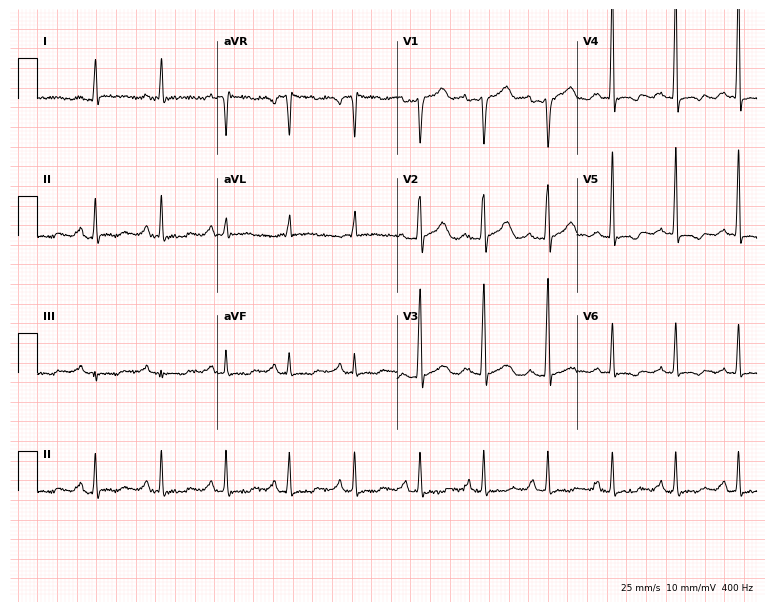
12-lead ECG (7.3-second recording at 400 Hz) from a 64-year-old woman. Screened for six findings — first-degree AV block, right bundle branch block, left bundle branch block, sinus bradycardia, atrial fibrillation, sinus tachycardia — none is recorded.